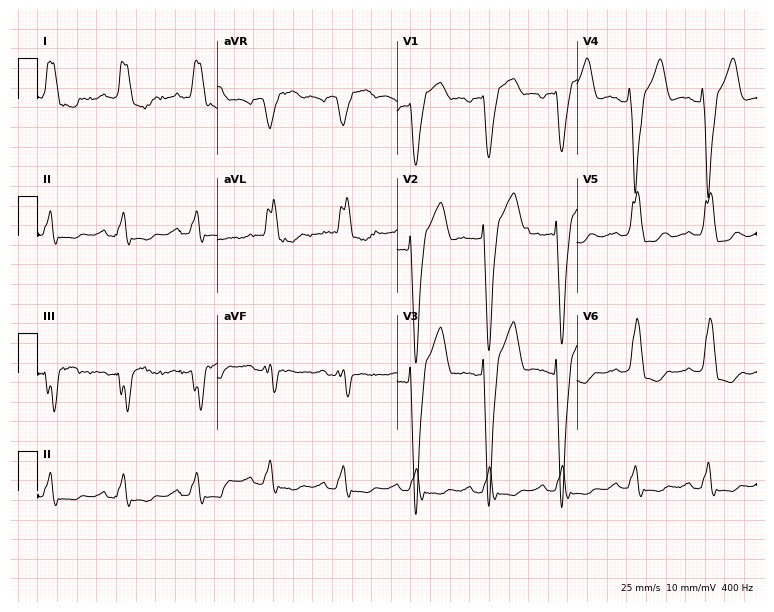
Resting 12-lead electrocardiogram (7.3-second recording at 400 Hz). Patient: a male, 82 years old. The tracing shows left bundle branch block.